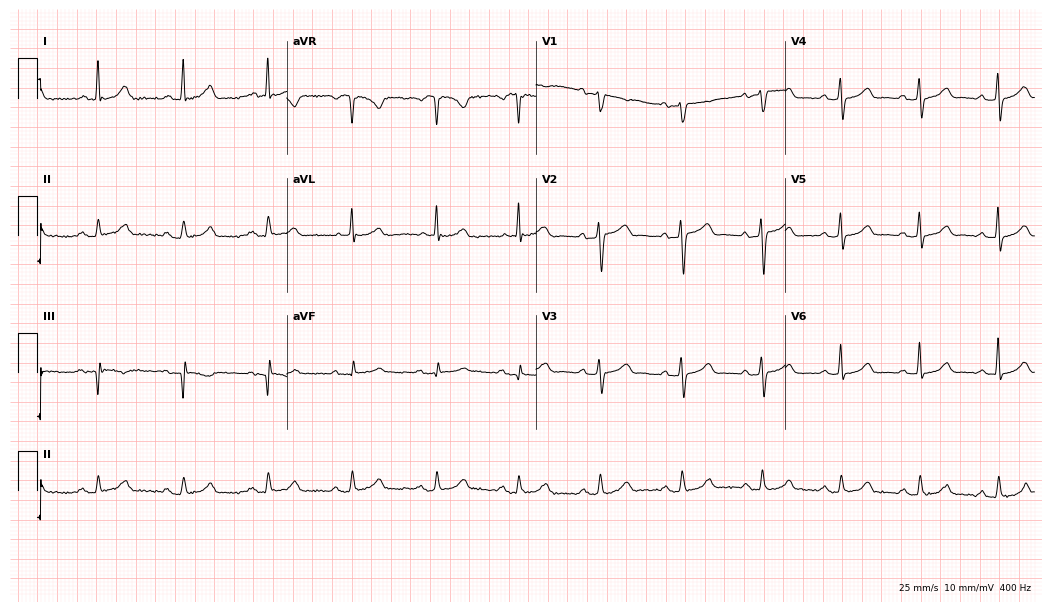
12-lead ECG from a woman, 54 years old. Recorded interpretation: within normal limits.